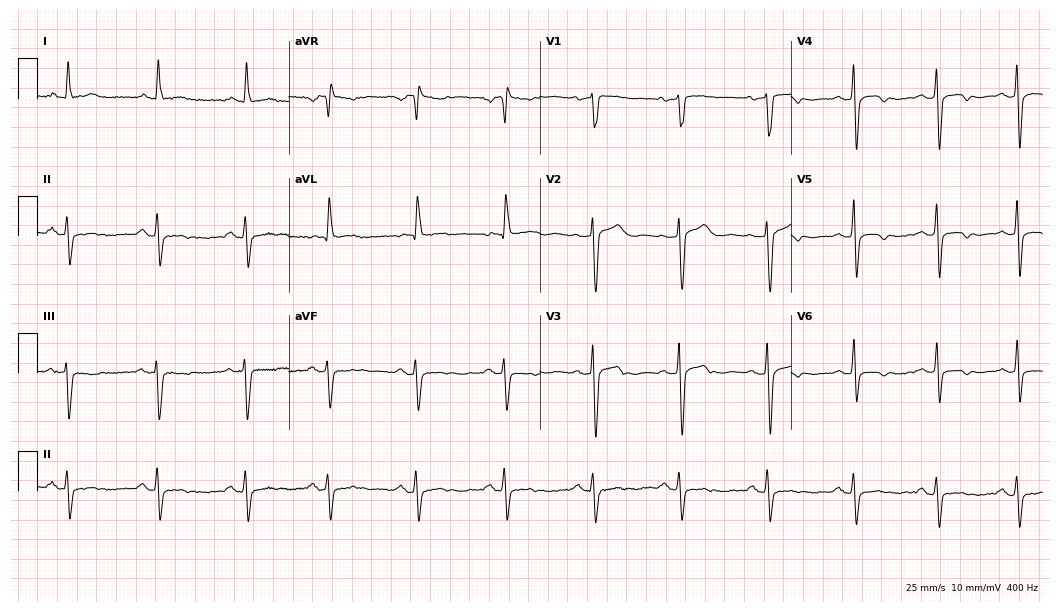
12-lead ECG from a female, 73 years old. Screened for six findings — first-degree AV block, right bundle branch block (RBBB), left bundle branch block (LBBB), sinus bradycardia, atrial fibrillation (AF), sinus tachycardia — none is recorded. Only these six findings were labelled.